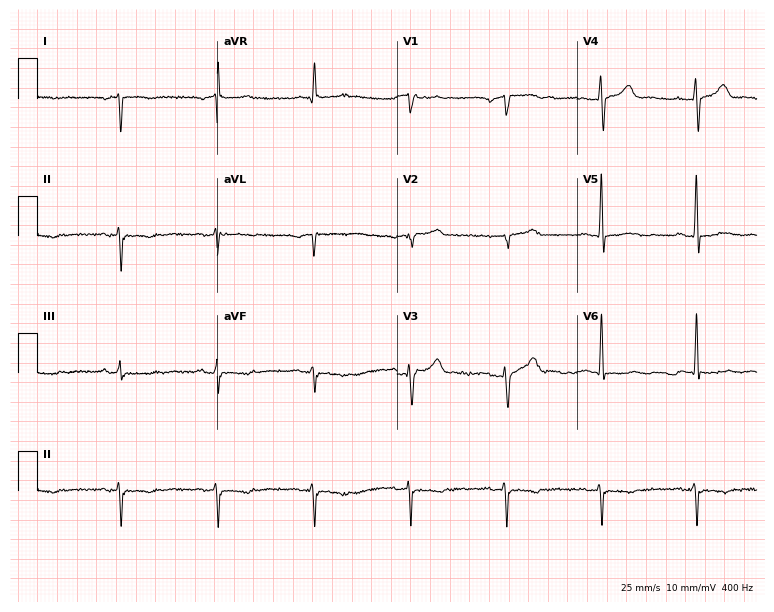
12-lead ECG from a man, 57 years old (7.3-second recording at 400 Hz). No first-degree AV block, right bundle branch block, left bundle branch block, sinus bradycardia, atrial fibrillation or sinus tachycardia recorded for this tracing. Findings outside these six are not listed.